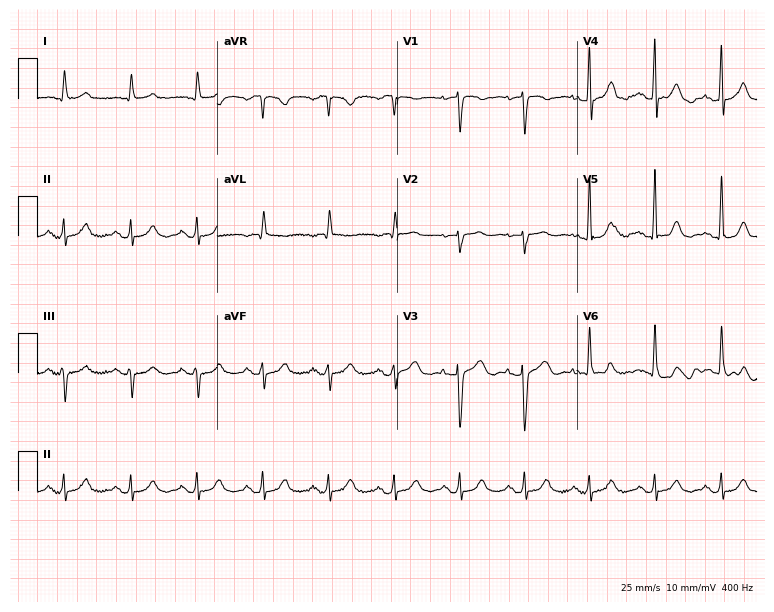
Standard 12-lead ECG recorded from an 80-year-old woman. None of these six findings is recorded: first-degree AV block, right bundle branch block, left bundle branch block, sinus bradycardia, atrial fibrillation, sinus tachycardia.